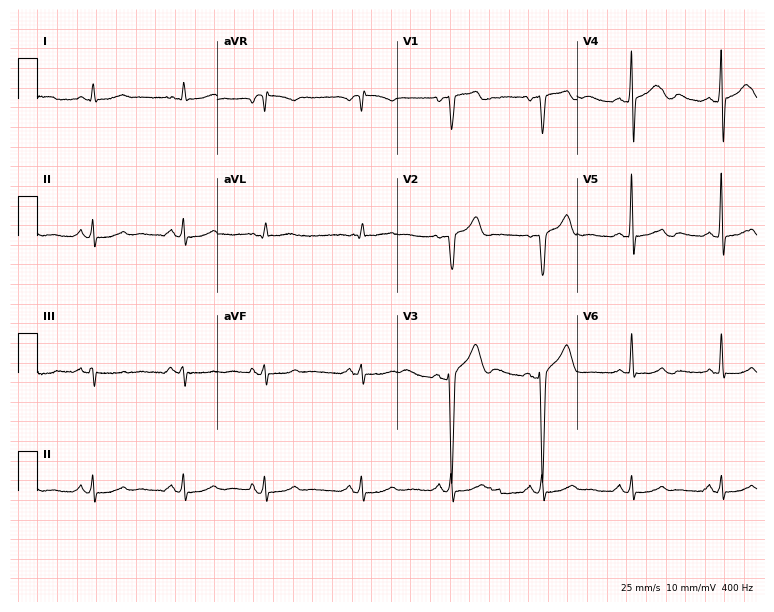
ECG (7.3-second recording at 400 Hz) — a male patient, 61 years old. Labelled as a normal ECG.